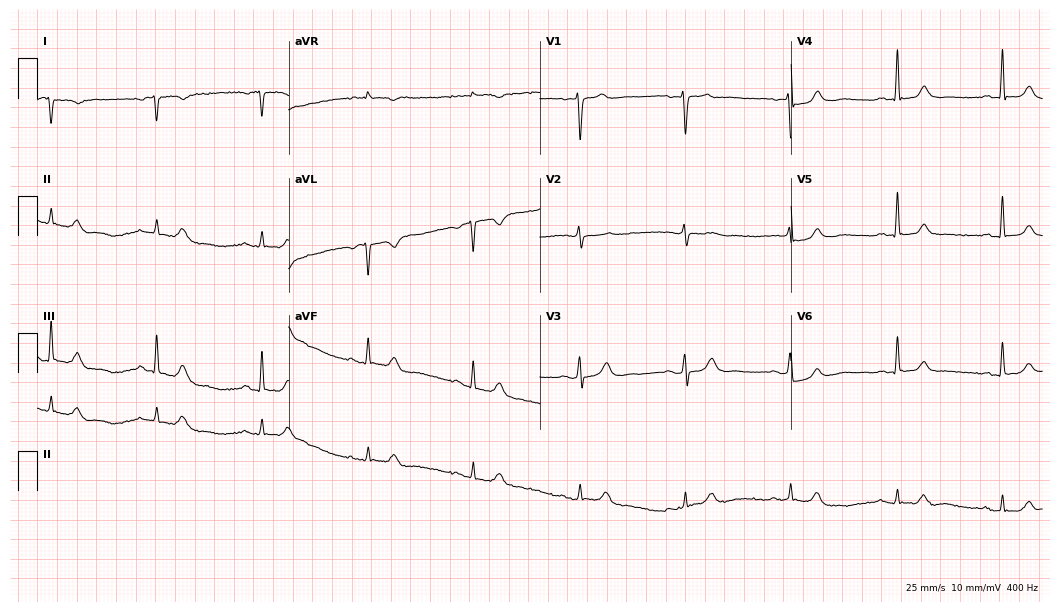
ECG — a 70-year-old male patient. Screened for six findings — first-degree AV block, right bundle branch block, left bundle branch block, sinus bradycardia, atrial fibrillation, sinus tachycardia — none is recorded. Other findings, if any, are not listed.